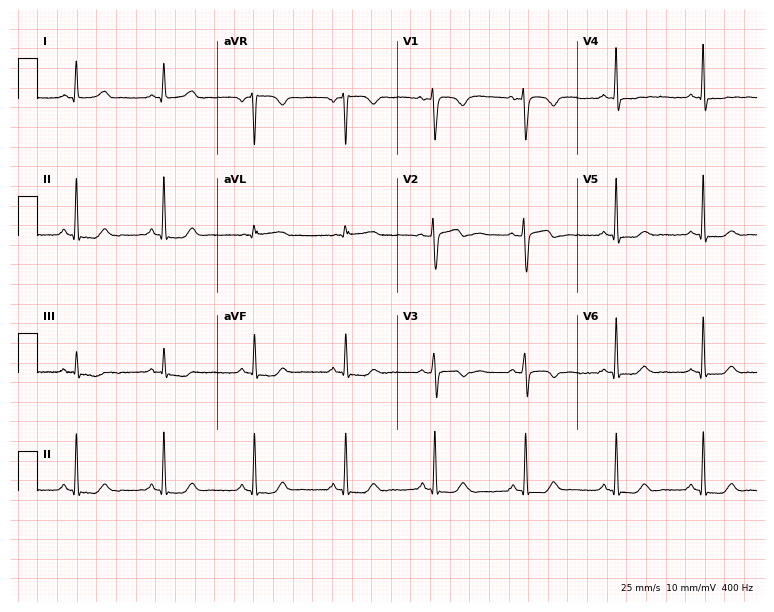
ECG (7.3-second recording at 400 Hz) — a female patient, 34 years old. Screened for six findings — first-degree AV block, right bundle branch block (RBBB), left bundle branch block (LBBB), sinus bradycardia, atrial fibrillation (AF), sinus tachycardia — none is recorded. Only these six findings were labelled.